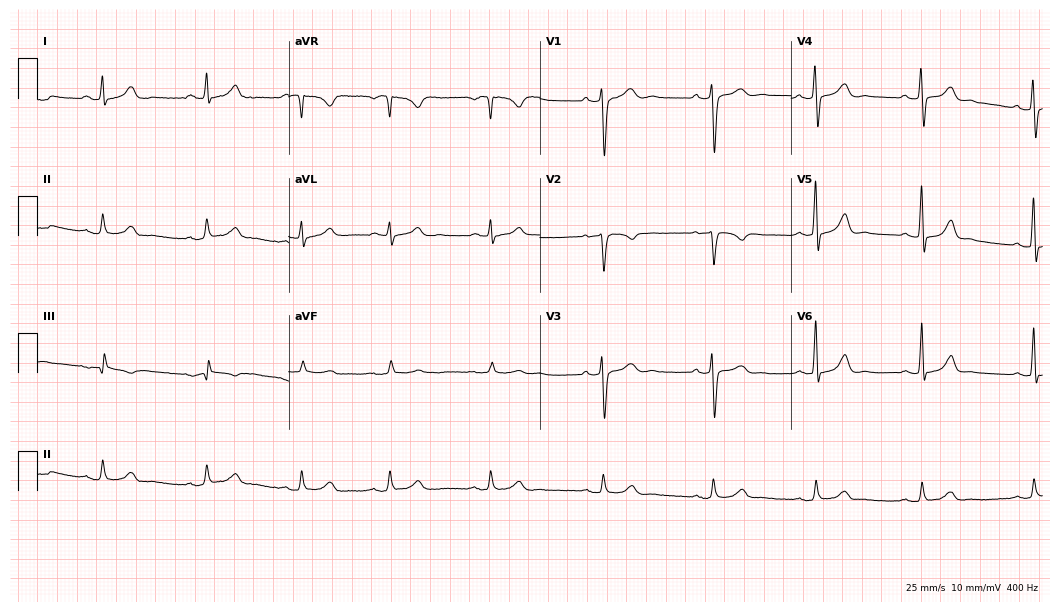
Electrocardiogram, a 37-year-old man. Overall reading on record: normal ECG.